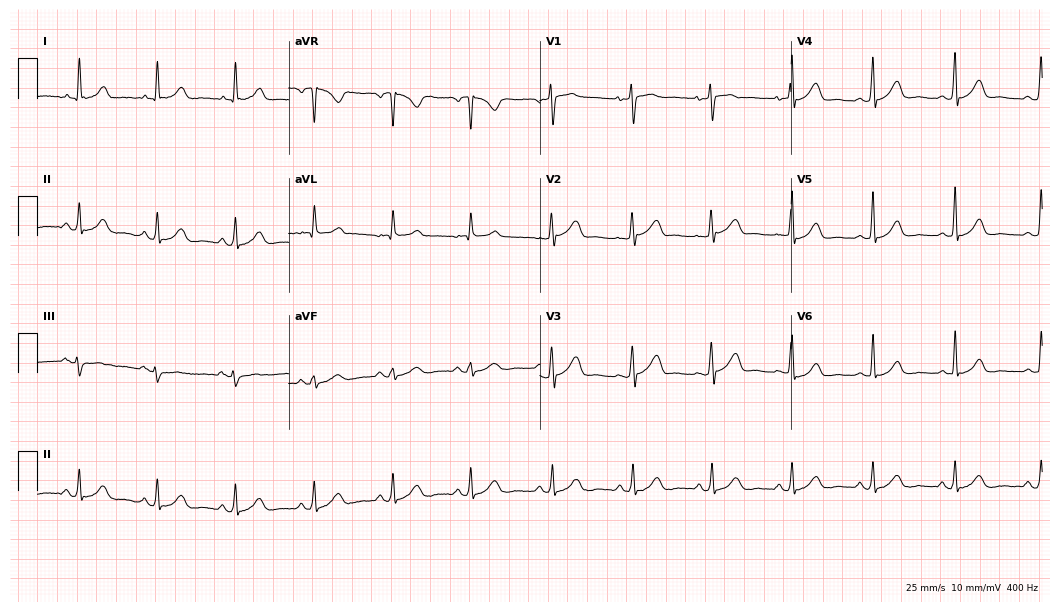
Standard 12-lead ECG recorded from a female, 50 years old. None of these six findings is recorded: first-degree AV block, right bundle branch block, left bundle branch block, sinus bradycardia, atrial fibrillation, sinus tachycardia. Findings outside these six are not listed.